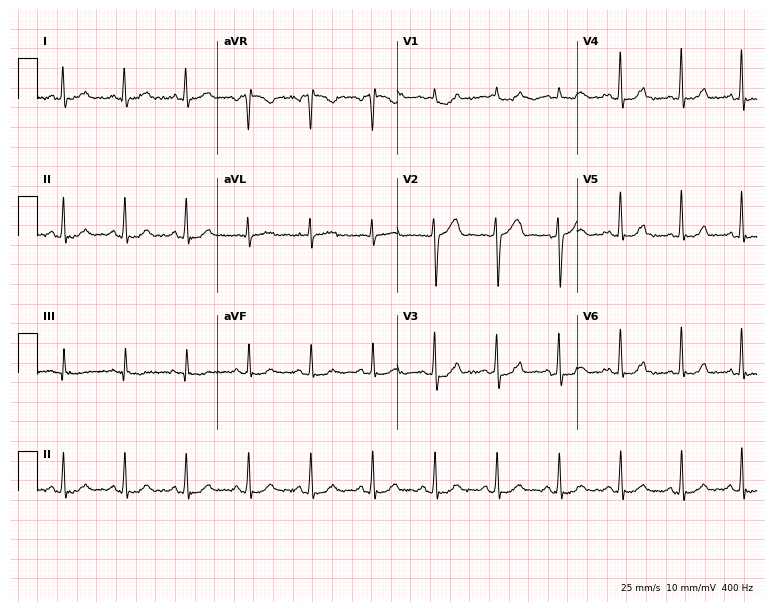
12-lead ECG from a 69-year-old female. Labelled as a normal ECG.